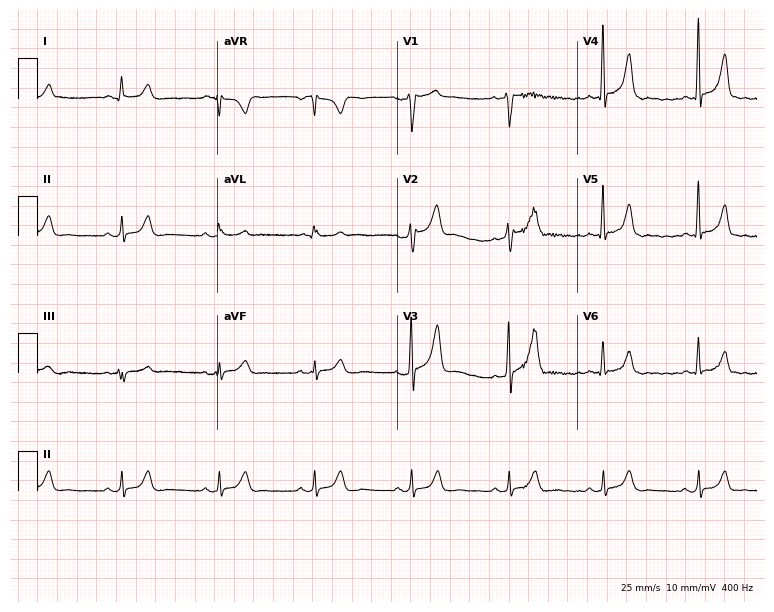
12-lead ECG from a man, 62 years old. Screened for six findings — first-degree AV block, right bundle branch block (RBBB), left bundle branch block (LBBB), sinus bradycardia, atrial fibrillation (AF), sinus tachycardia — none is recorded. Other findings, if any, are not listed.